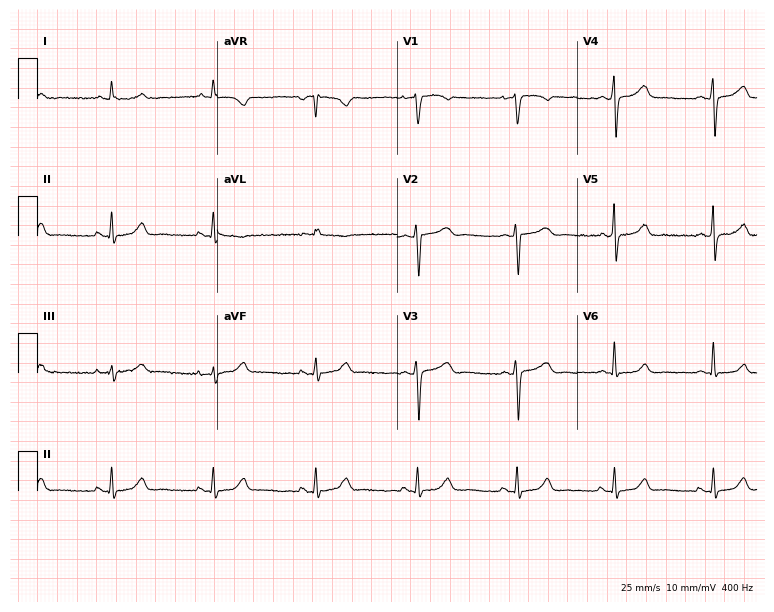
12-lead ECG from a 55-year-old female patient (7.3-second recording at 400 Hz). Recorded interpretation: within normal limits.